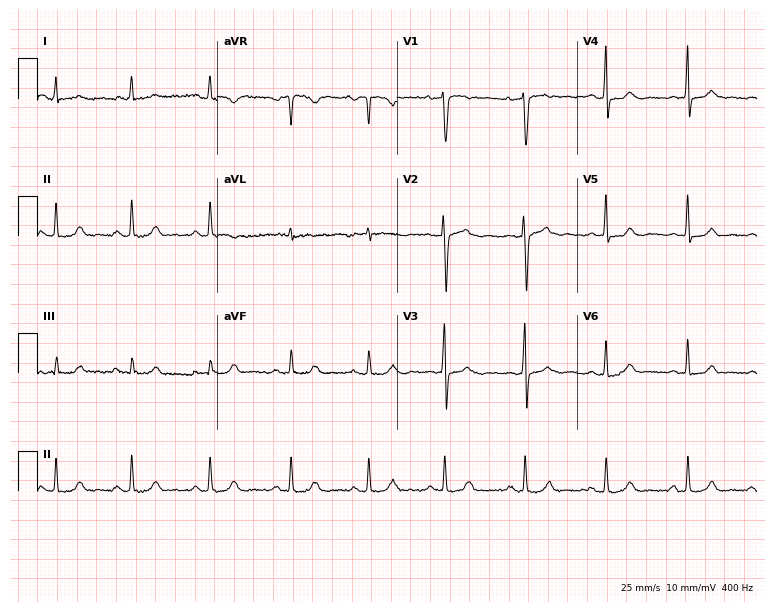
ECG (7.3-second recording at 400 Hz) — a female, 31 years old. Labelled as a normal ECG.